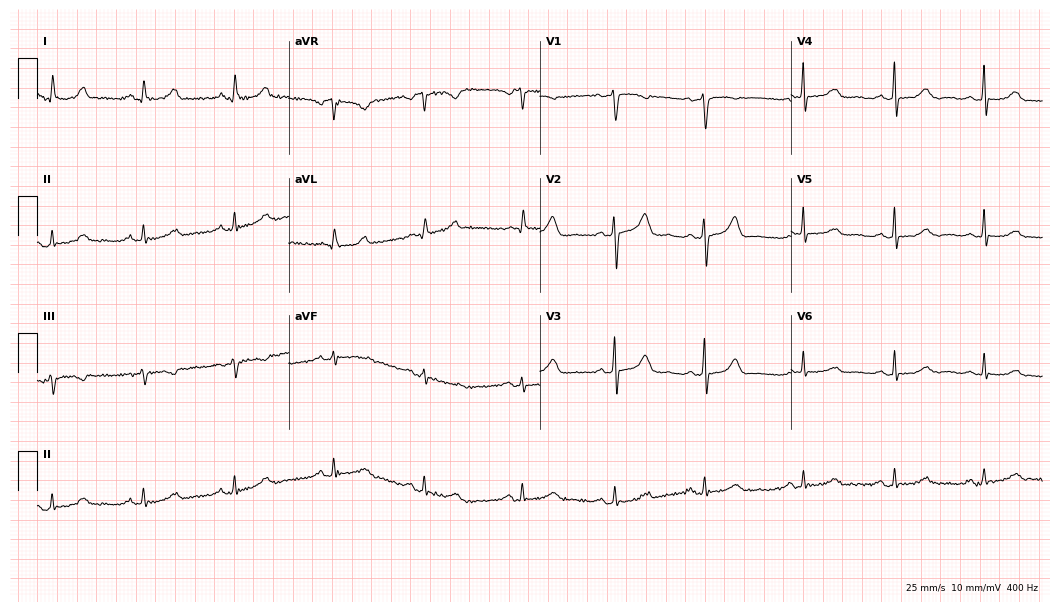
ECG — a 73-year-old female patient. Screened for six findings — first-degree AV block, right bundle branch block, left bundle branch block, sinus bradycardia, atrial fibrillation, sinus tachycardia — none is recorded. Other findings, if any, are not listed.